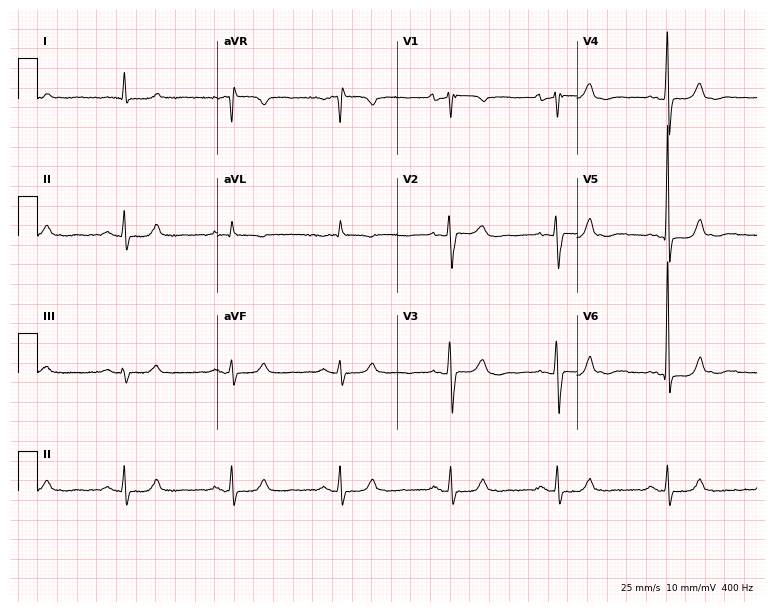
12-lead ECG from a woman, 77 years old (7.3-second recording at 400 Hz). Recorded interpretation: within normal limits.